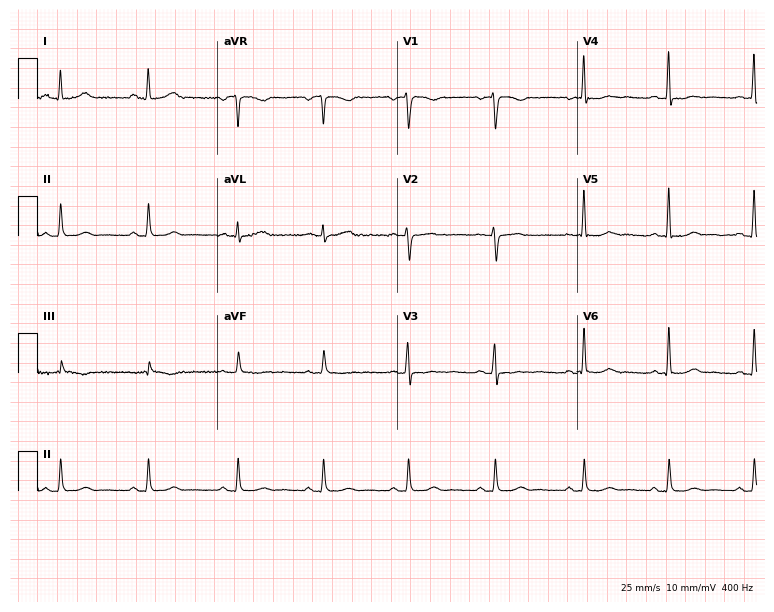
ECG — a female, 45 years old. Labelled as a normal ECG.